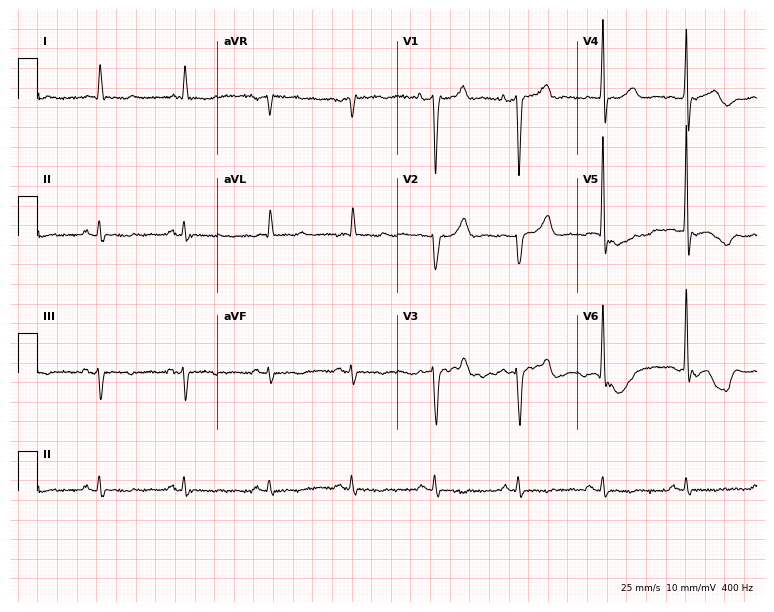
Electrocardiogram, a 63-year-old man. Of the six screened findings (first-degree AV block, right bundle branch block, left bundle branch block, sinus bradycardia, atrial fibrillation, sinus tachycardia), none is recorded. Findings outside these six are not listed.